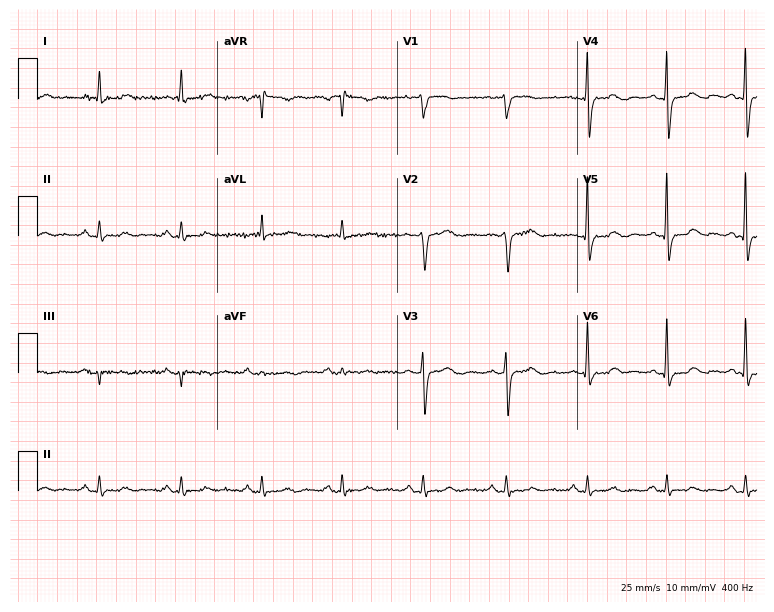
Resting 12-lead electrocardiogram (7.3-second recording at 400 Hz). Patient: an 82-year-old woman. None of these six findings is recorded: first-degree AV block, right bundle branch block (RBBB), left bundle branch block (LBBB), sinus bradycardia, atrial fibrillation (AF), sinus tachycardia.